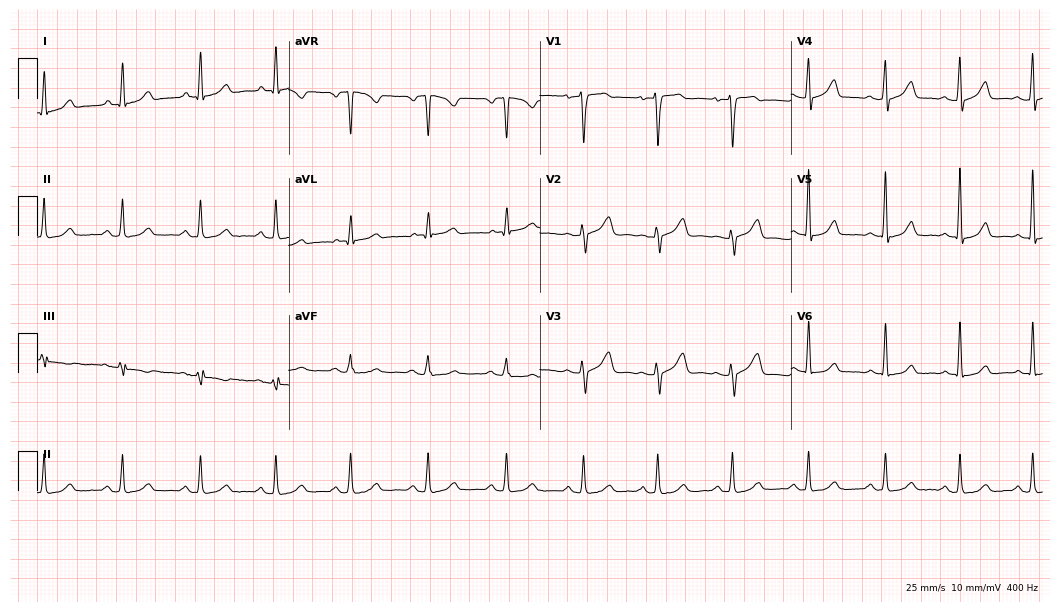
Resting 12-lead electrocardiogram (10.2-second recording at 400 Hz). Patient: a 51-year-old woman. None of these six findings is recorded: first-degree AV block, right bundle branch block, left bundle branch block, sinus bradycardia, atrial fibrillation, sinus tachycardia.